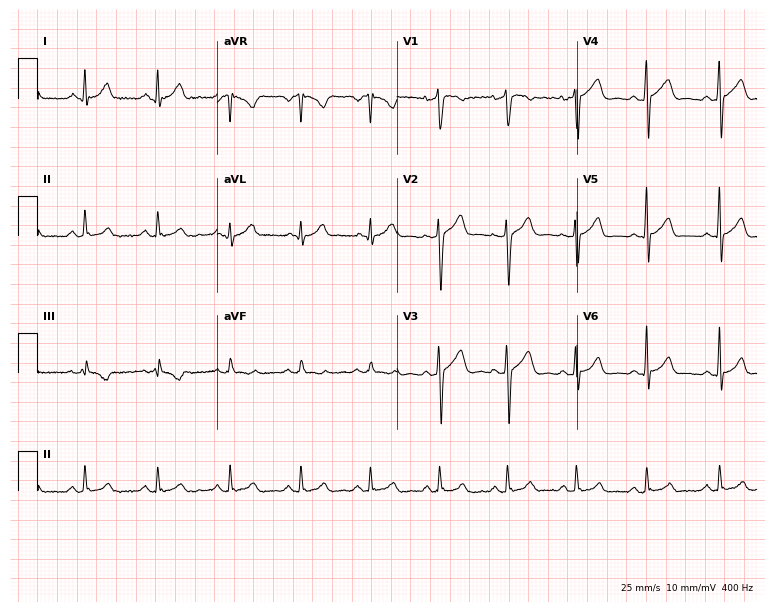
12-lead ECG from a male patient, 38 years old. Recorded interpretation: within normal limits.